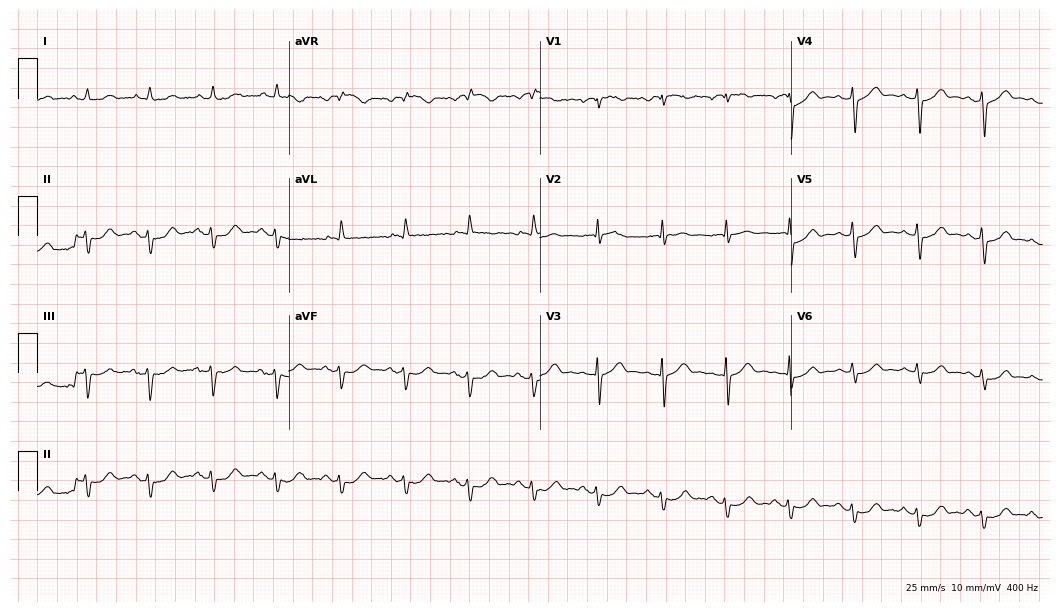
Electrocardiogram, a 64-year-old male. Of the six screened findings (first-degree AV block, right bundle branch block, left bundle branch block, sinus bradycardia, atrial fibrillation, sinus tachycardia), none is recorded.